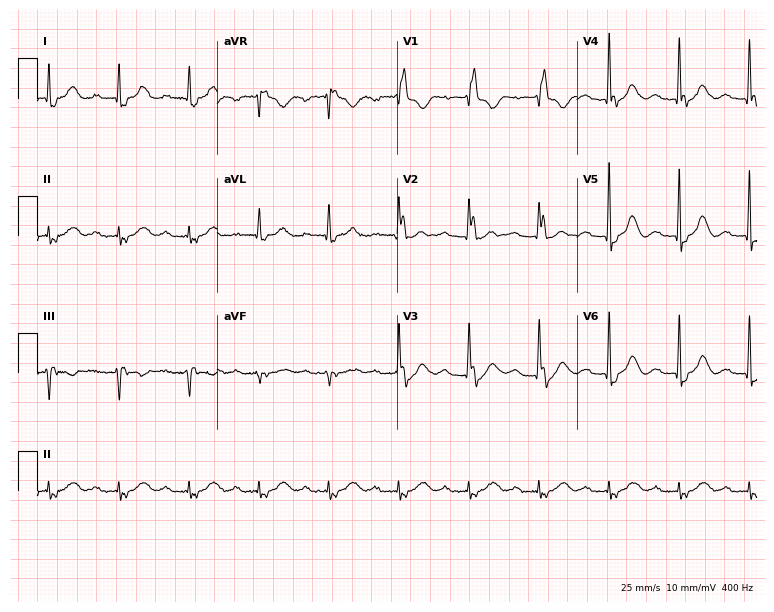
12-lead ECG (7.3-second recording at 400 Hz) from a 78-year-old female. Findings include first-degree AV block, right bundle branch block.